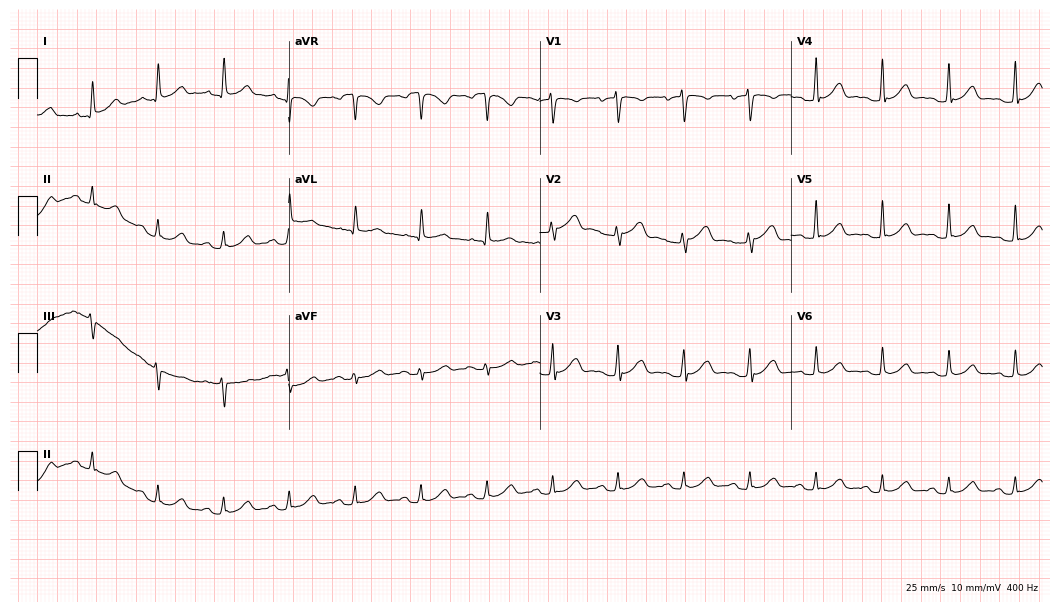
Standard 12-lead ECG recorded from a female patient, 57 years old (10.2-second recording at 400 Hz). Read as a normal ECG.